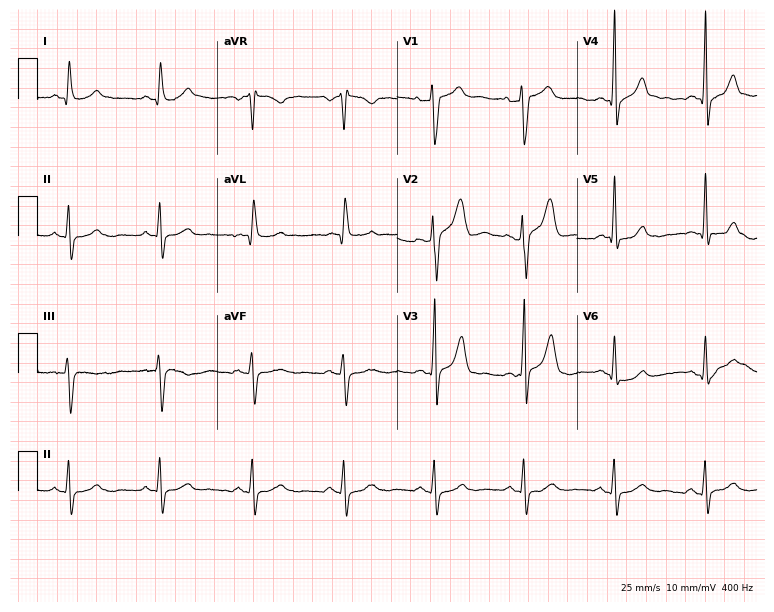
Electrocardiogram, a male, 75 years old. Of the six screened findings (first-degree AV block, right bundle branch block (RBBB), left bundle branch block (LBBB), sinus bradycardia, atrial fibrillation (AF), sinus tachycardia), none is recorded. Only these six findings were labelled.